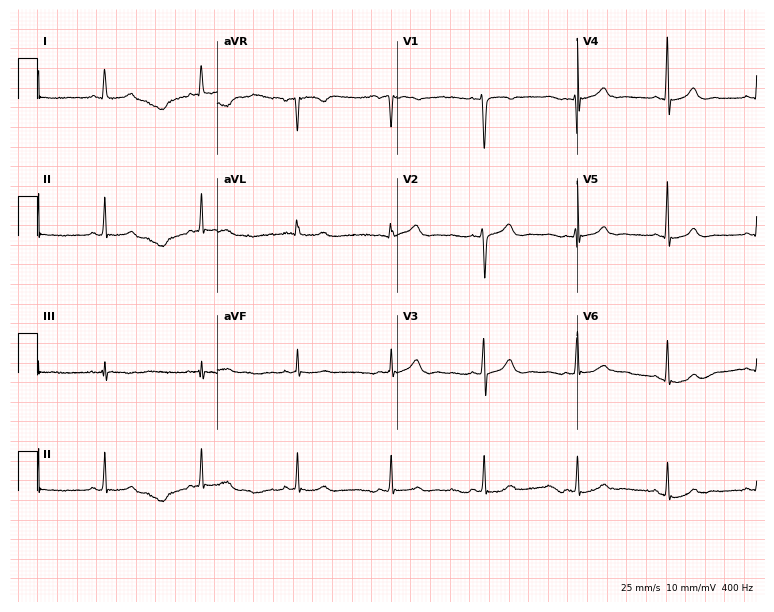
Electrocardiogram (7.3-second recording at 400 Hz), a woman, 37 years old. Overall reading on record: normal ECG.